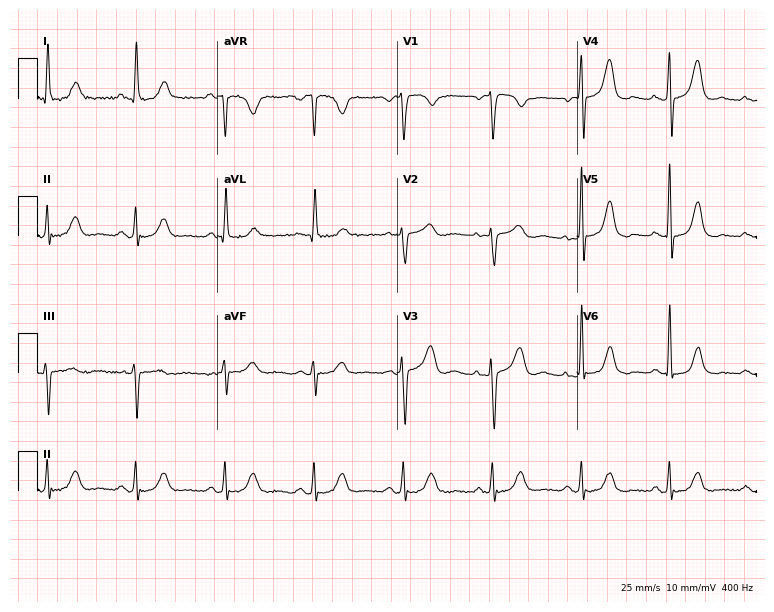
12-lead ECG from a 69-year-old woman. No first-degree AV block, right bundle branch block (RBBB), left bundle branch block (LBBB), sinus bradycardia, atrial fibrillation (AF) or sinus tachycardia recorded for this tracing. Only these six findings were labelled.